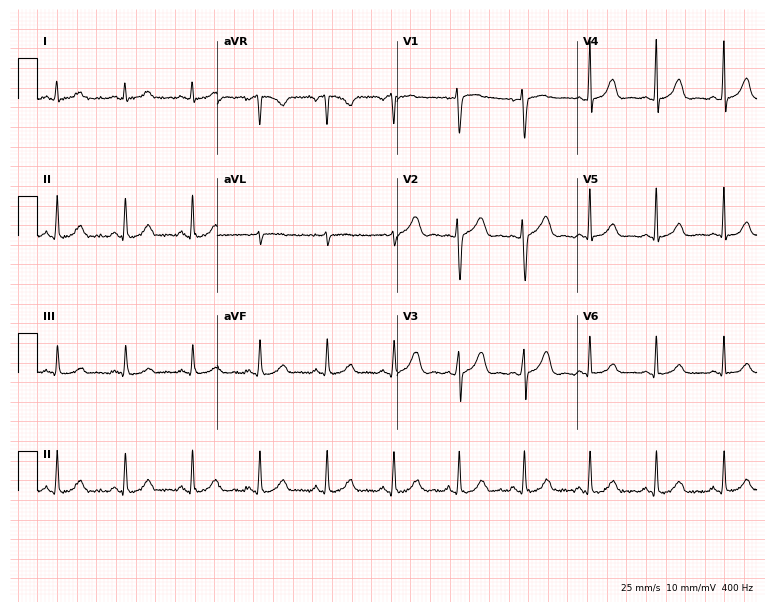
12-lead ECG from a 38-year-old female. Recorded interpretation: within normal limits.